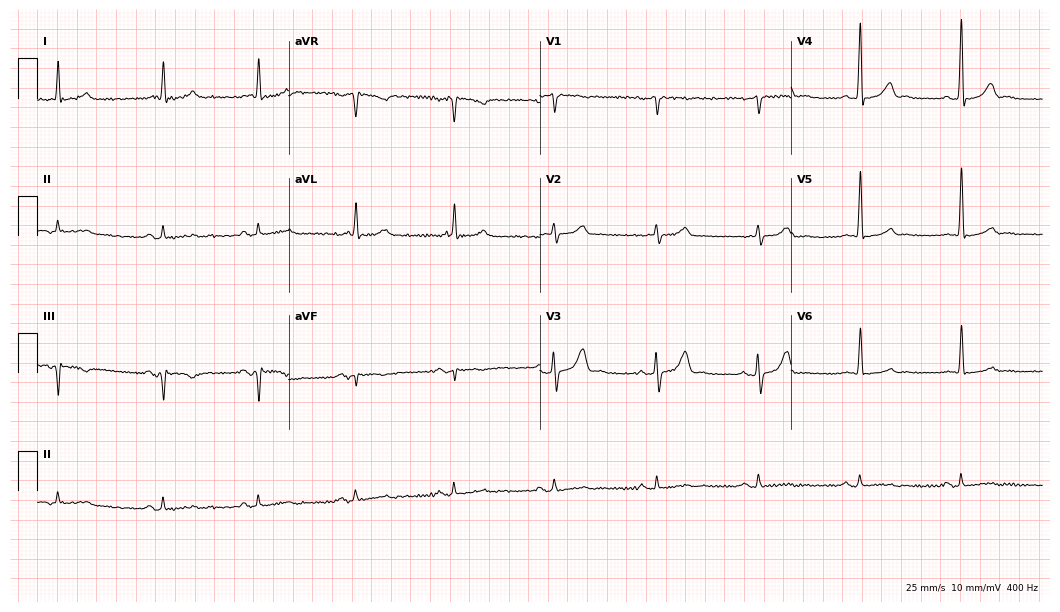
12-lead ECG from a 71-year-old male patient. No first-degree AV block, right bundle branch block (RBBB), left bundle branch block (LBBB), sinus bradycardia, atrial fibrillation (AF) or sinus tachycardia recorded for this tracing.